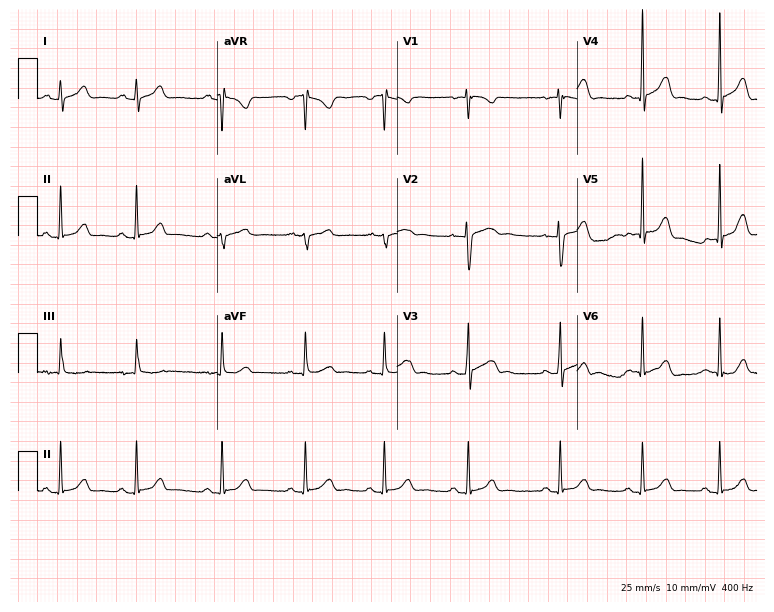
12-lead ECG from a female patient, 18 years old (7.3-second recording at 400 Hz). Recorded interpretation: within normal limits.